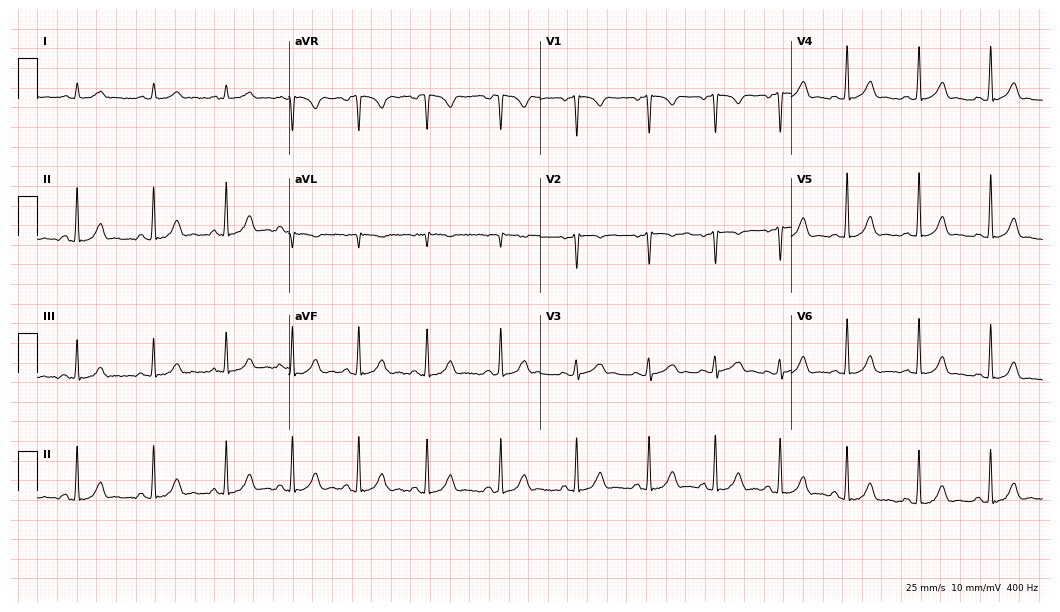
12-lead ECG from a 19-year-old female. Labelled as a normal ECG.